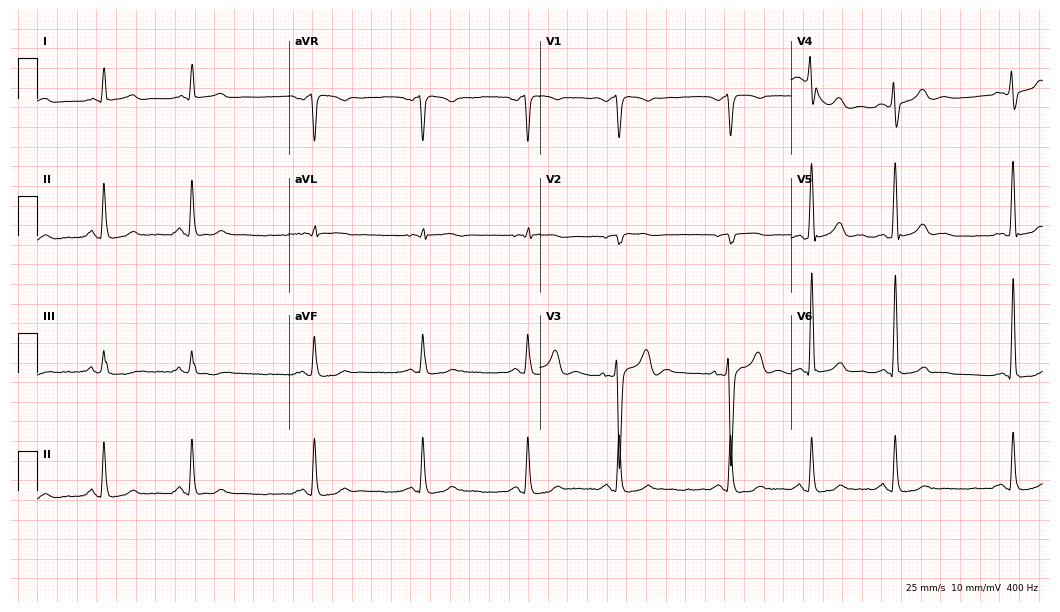
ECG — a male, 50 years old. Screened for six findings — first-degree AV block, right bundle branch block, left bundle branch block, sinus bradycardia, atrial fibrillation, sinus tachycardia — none is recorded.